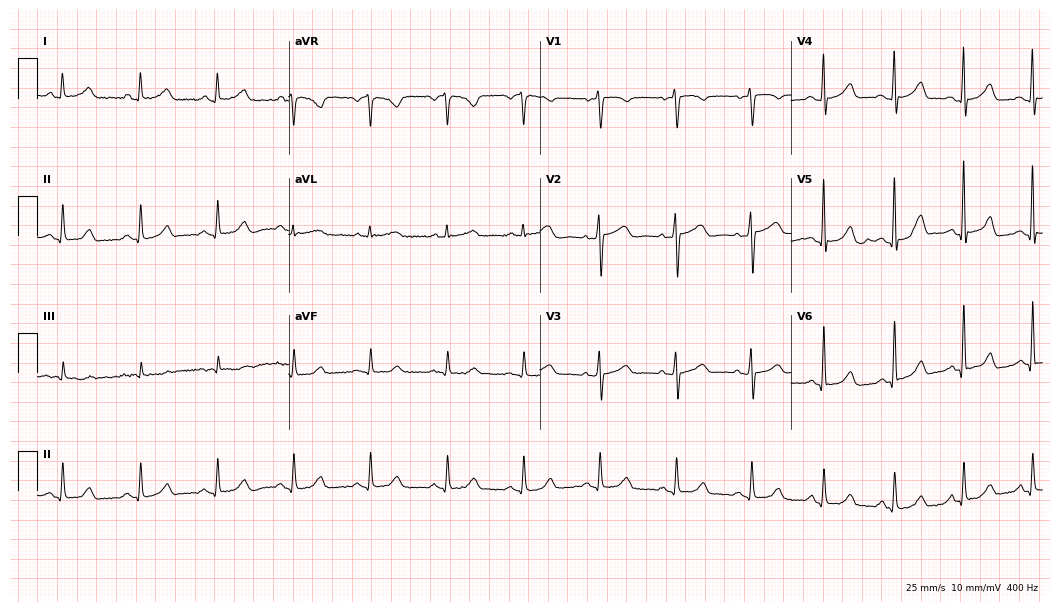
Resting 12-lead electrocardiogram (10.2-second recording at 400 Hz). Patient: a female, 69 years old. Read as a normal ECG.